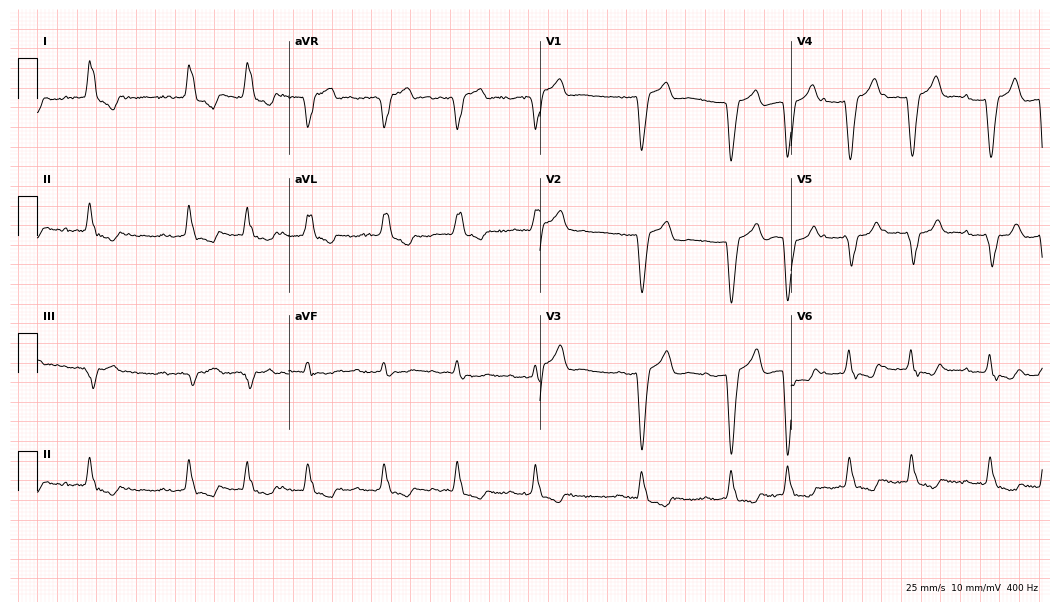
ECG — a 77-year-old male patient. Findings include first-degree AV block, left bundle branch block (LBBB), atrial fibrillation (AF).